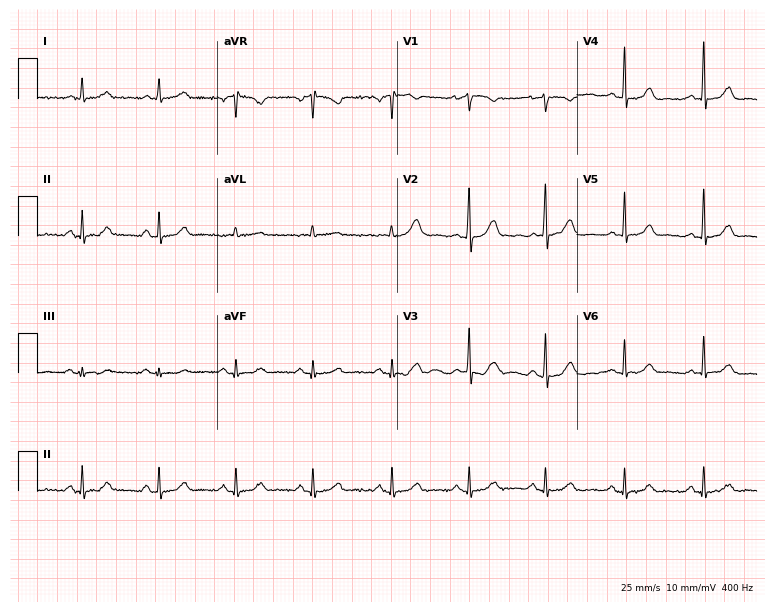
Resting 12-lead electrocardiogram (7.3-second recording at 400 Hz). Patient: a female, 59 years old. Read as a normal ECG.